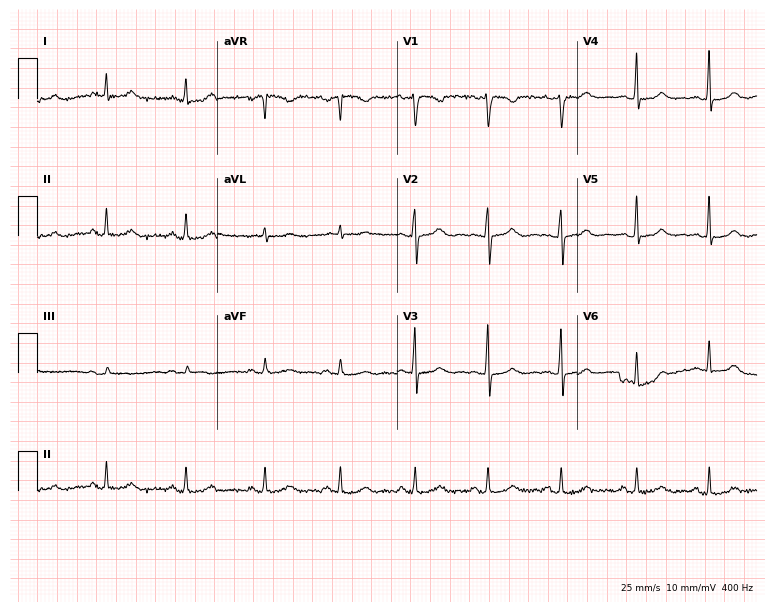
Standard 12-lead ECG recorded from a 28-year-old female patient. Read as a normal ECG.